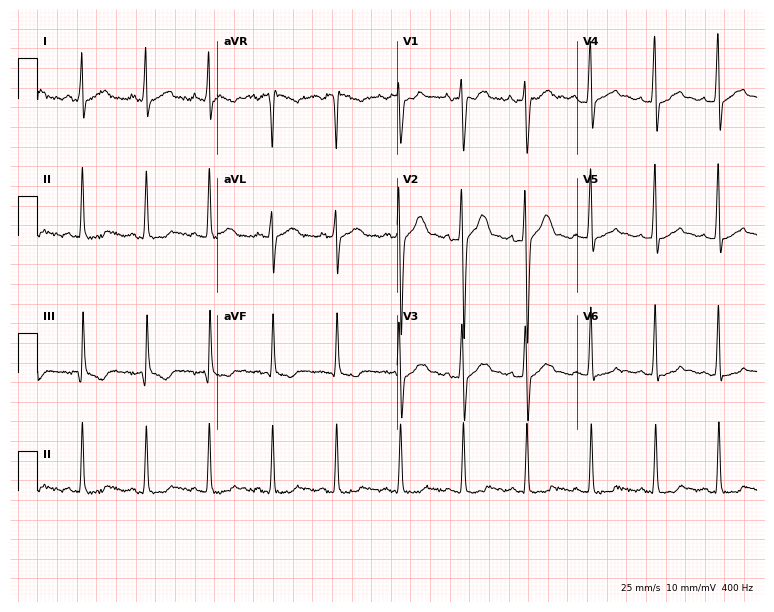
Standard 12-lead ECG recorded from a man, 30 years old. None of these six findings is recorded: first-degree AV block, right bundle branch block, left bundle branch block, sinus bradycardia, atrial fibrillation, sinus tachycardia.